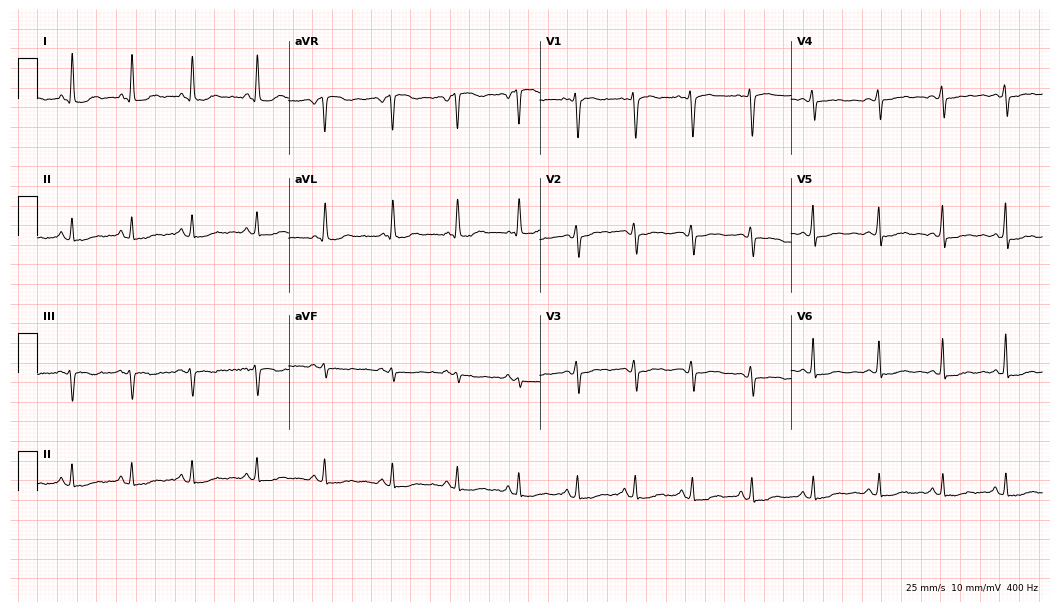
Electrocardiogram, a female, 45 years old. Of the six screened findings (first-degree AV block, right bundle branch block, left bundle branch block, sinus bradycardia, atrial fibrillation, sinus tachycardia), none is recorded.